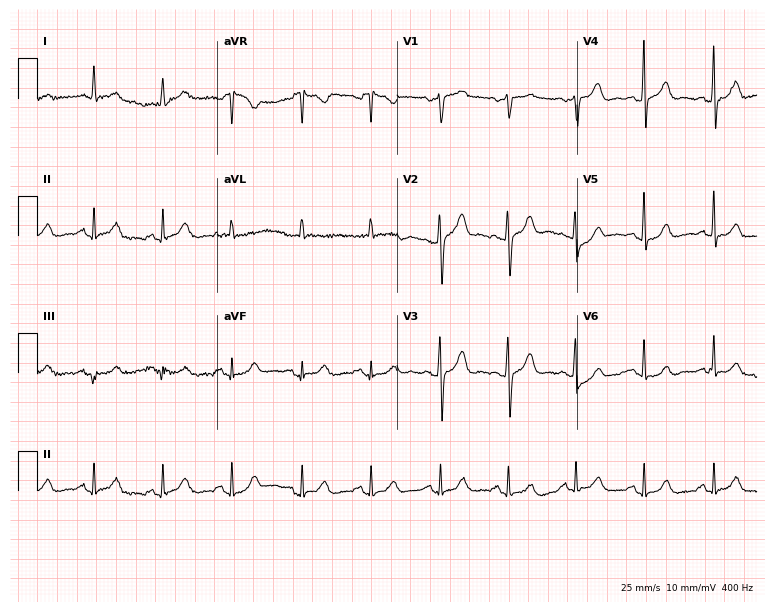
Resting 12-lead electrocardiogram. Patient: a female, 81 years old. Read as a normal ECG.